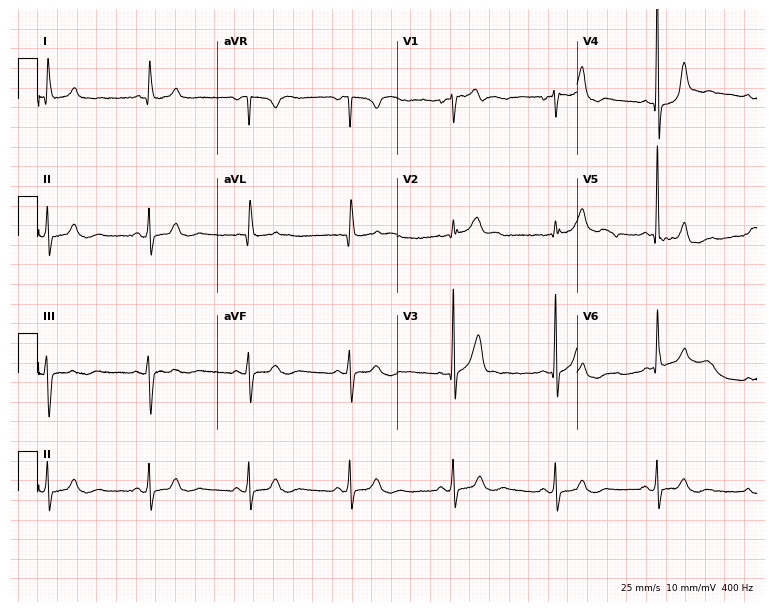
Standard 12-lead ECG recorded from a male, 61 years old. Read as a normal ECG.